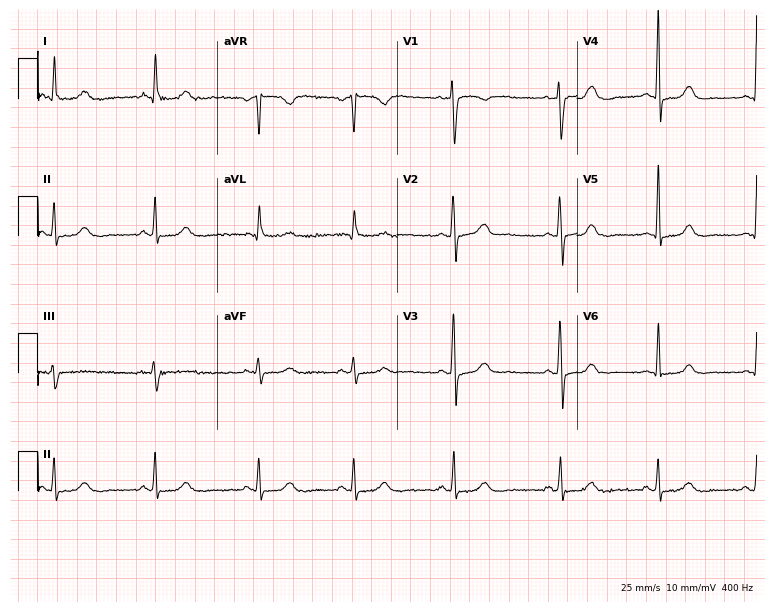
12-lead ECG from a 66-year-old woman (7.3-second recording at 400 Hz). No first-degree AV block, right bundle branch block (RBBB), left bundle branch block (LBBB), sinus bradycardia, atrial fibrillation (AF) or sinus tachycardia recorded for this tracing. Only these six findings were labelled.